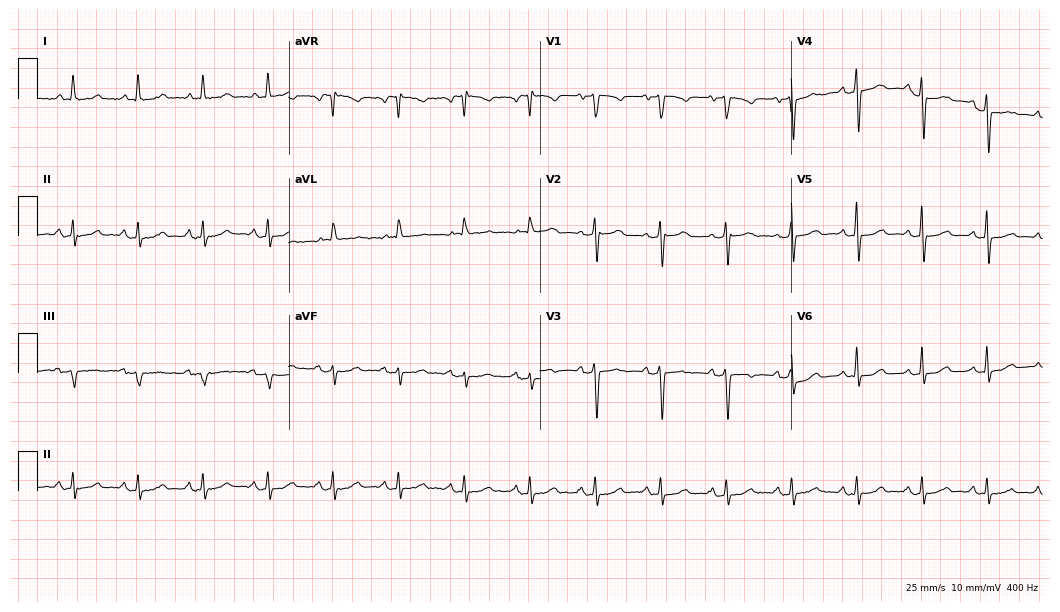
Resting 12-lead electrocardiogram (10.2-second recording at 400 Hz). Patient: an 83-year-old woman. Read as a normal ECG.